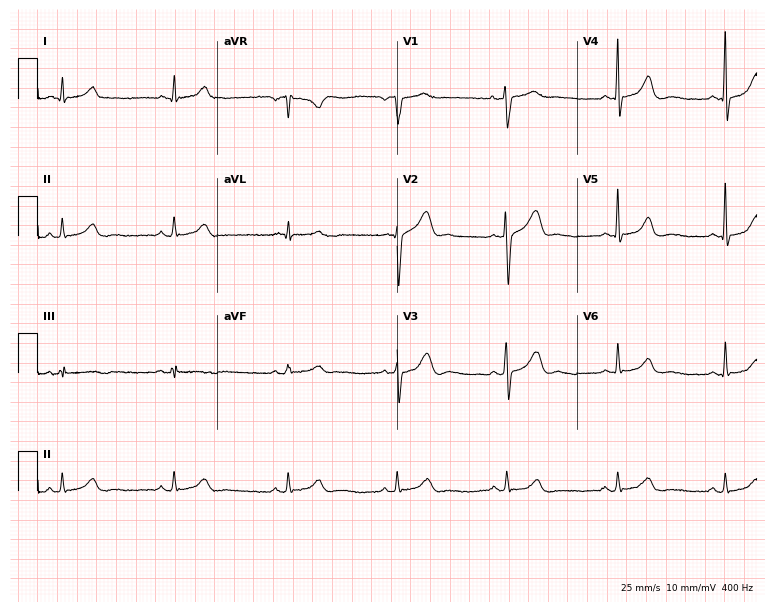
12-lead ECG from a male patient, 51 years old. No first-degree AV block, right bundle branch block, left bundle branch block, sinus bradycardia, atrial fibrillation or sinus tachycardia recorded for this tracing.